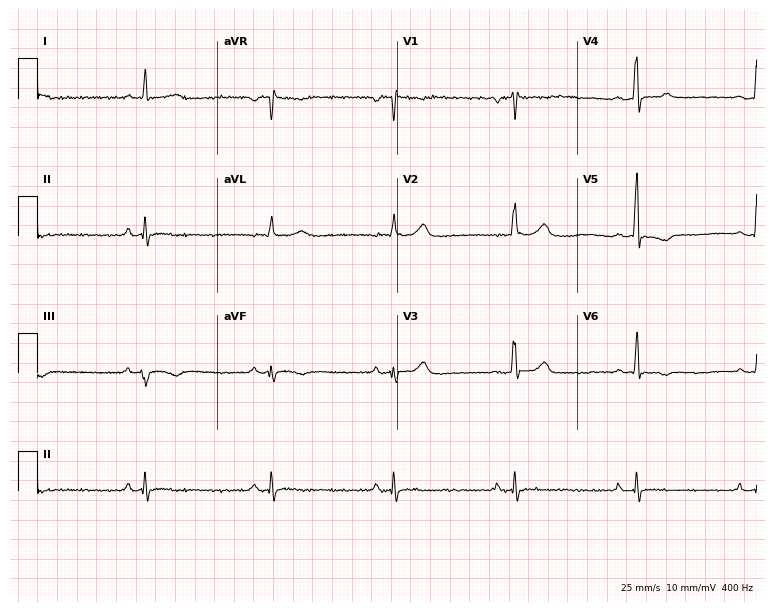
Resting 12-lead electrocardiogram. Patient: a 50-year-old male. None of these six findings is recorded: first-degree AV block, right bundle branch block, left bundle branch block, sinus bradycardia, atrial fibrillation, sinus tachycardia. Only these six findings were labelled.